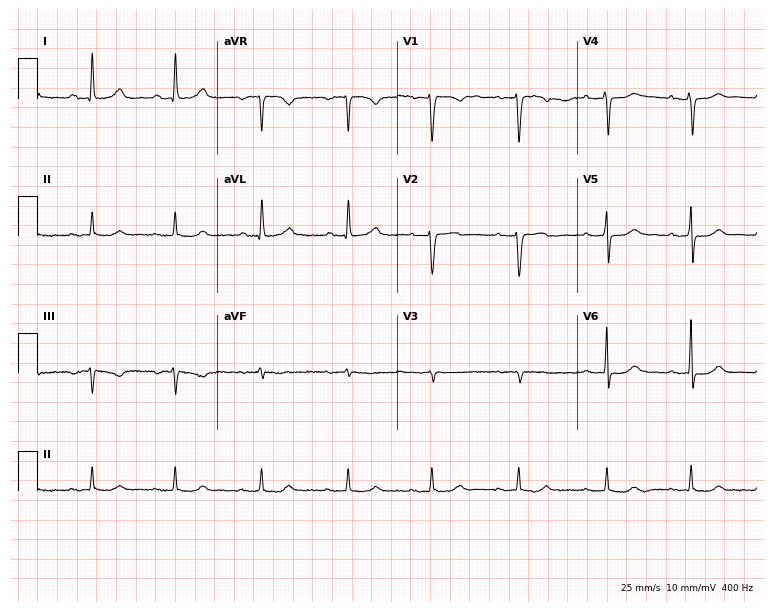
12-lead ECG from a female, 50 years old. Screened for six findings — first-degree AV block, right bundle branch block, left bundle branch block, sinus bradycardia, atrial fibrillation, sinus tachycardia — none is recorded.